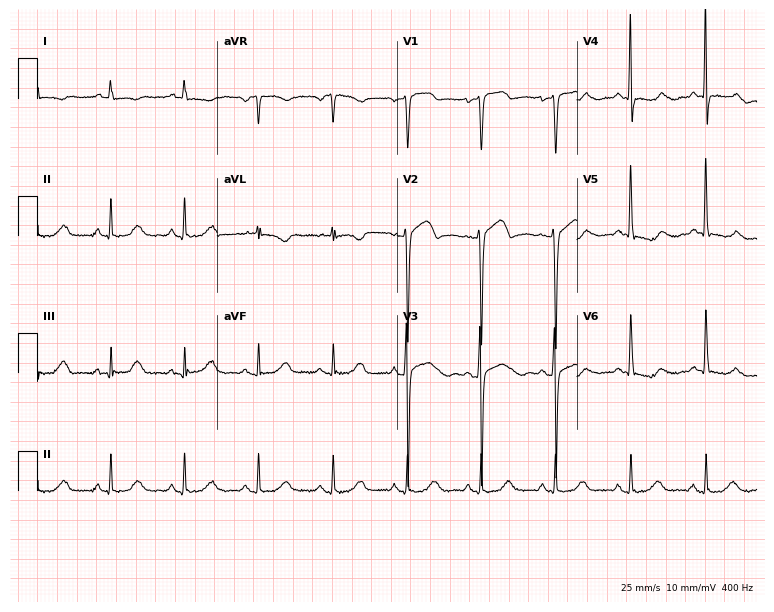
ECG — a 53-year-old male patient. Screened for six findings — first-degree AV block, right bundle branch block, left bundle branch block, sinus bradycardia, atrial fibrillation, sinus tachycardia — none is recorded.